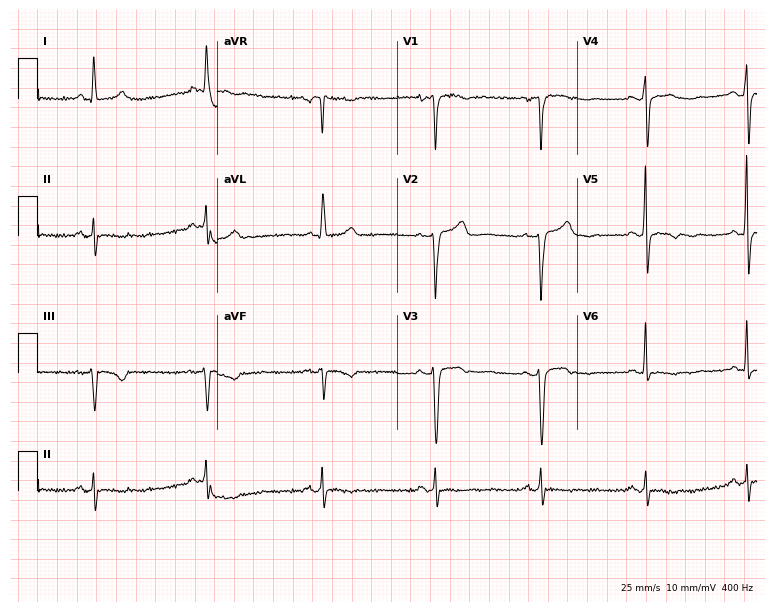
12-lead ECG (7.3-second recording at 400 Hz) from a 50-year-old woman. Screened for six findings — first-degree AV block, right bundle branch block (RBBB), left bundle branch block (LBBB), sinus bradycardia, atrial fibrillation (AF), sinus tachycardia — none is recorded.